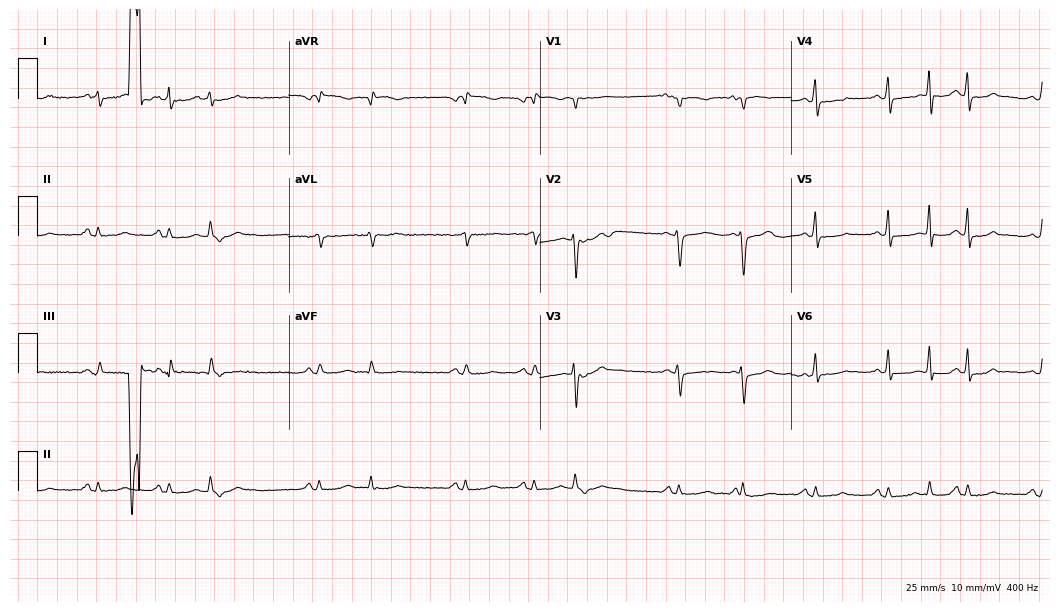
ECG — a woman, 36 years old. Screened for six findings — first-degree AV block, right bundle branch block (RBBB), left bundle branch block (LBBB), sinus bradycardia, atrial fibrillation (AF), sinus tachycardia — none is recorded. Other findings, if any, are not listed.